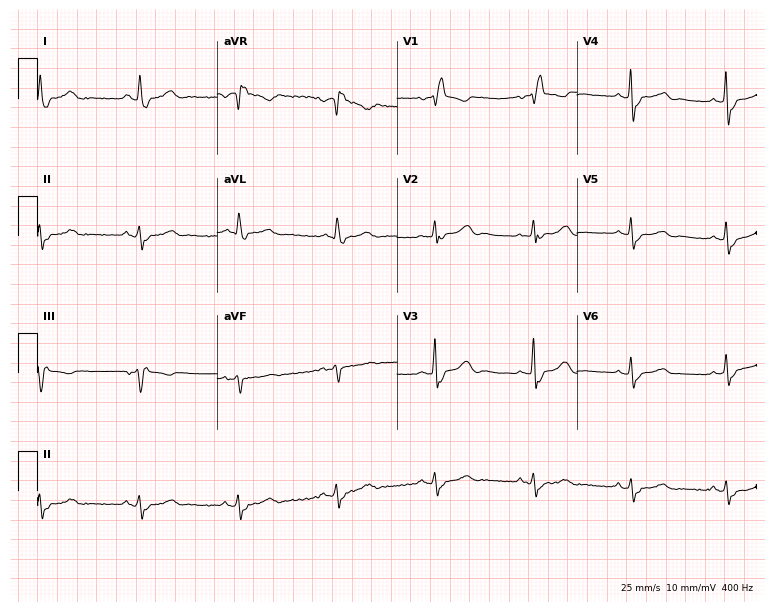
12-lead ECG from an 80-year-old woman. Shows right bundle branch block (RBBB).